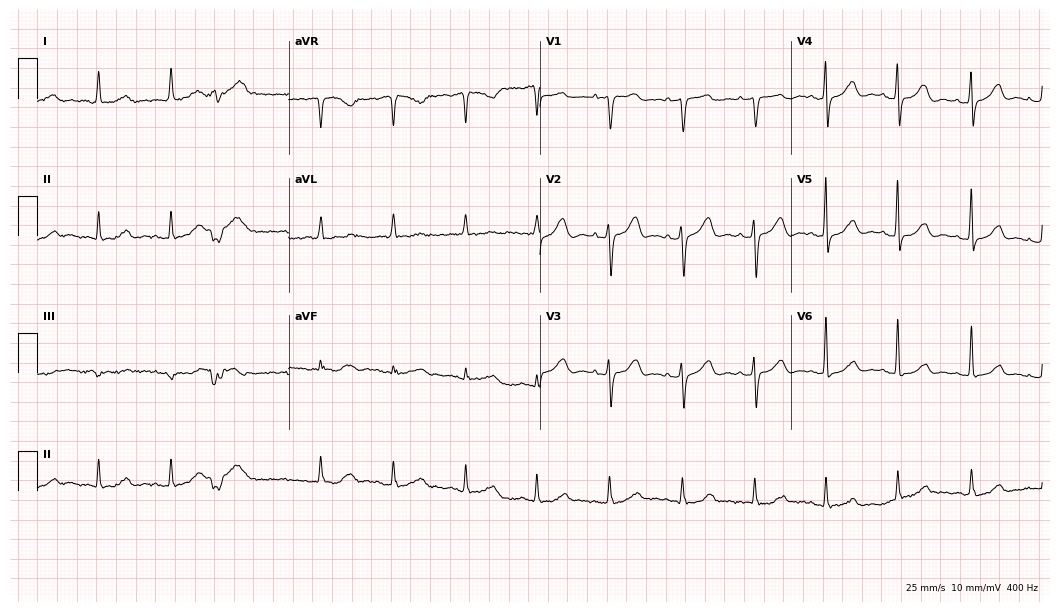
12-lead ECG from a woman, 80 years old. Screened for six findings — first-degree AV block, right bundle branch block, left bundle branch block, sinus bradycardia, atrial fibrillation, sinus tachycardia — none is recorded. Findings outside these six are not listed.